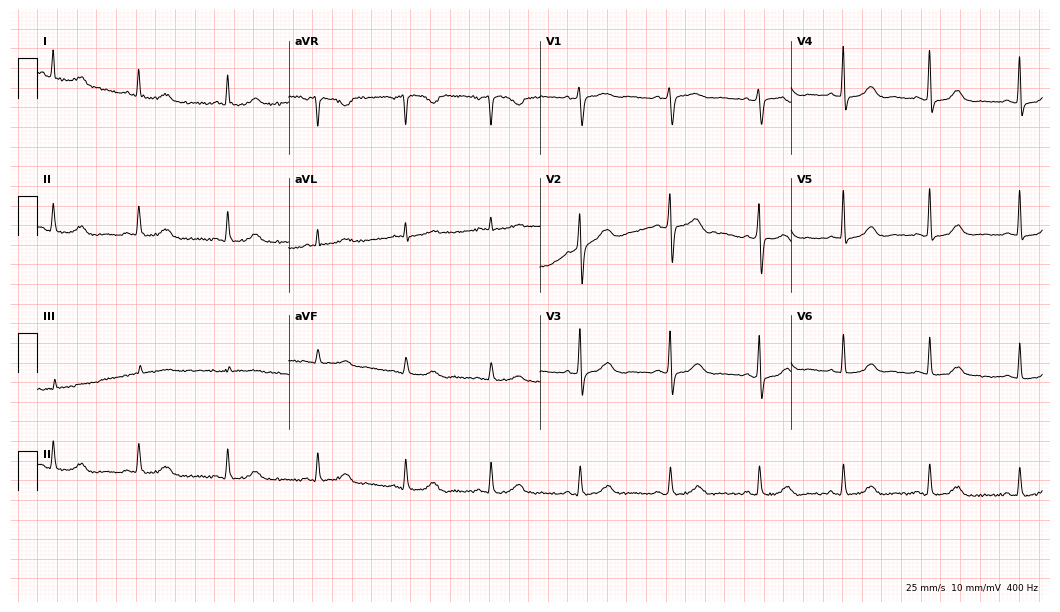
ECG — a woman, 70 years old. Labelled as a normal ECG.